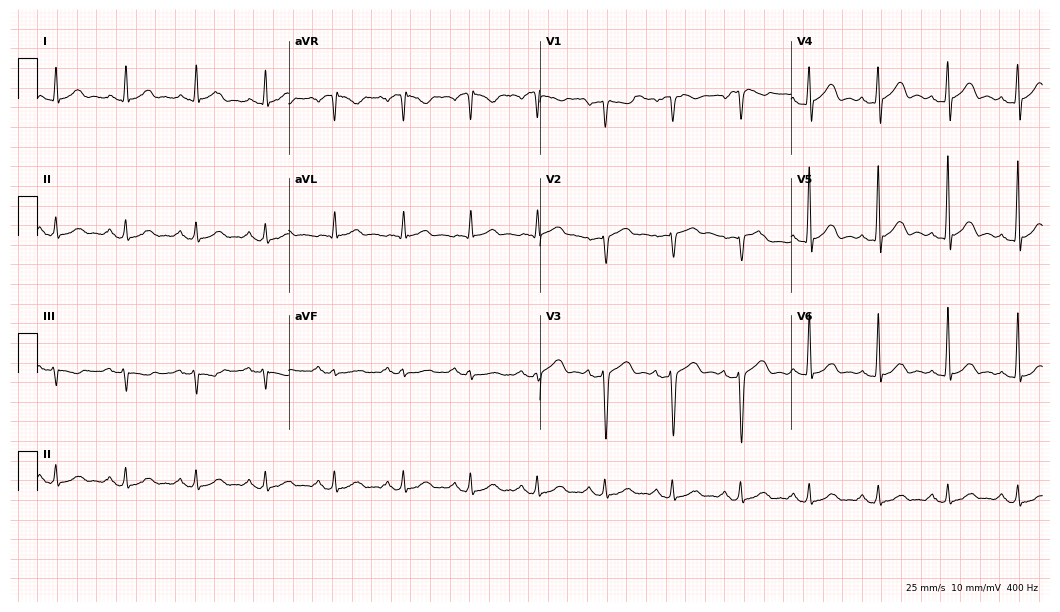
Electrocardiogram, a 62-year-old male. Of the six screened findings (first-degree AV block, right bundle branch block, left bundle branch block, sinus bradycardia, atrial fibrillation, sinus tachycardia), none is recorded. Other findings, if any, are not listed.